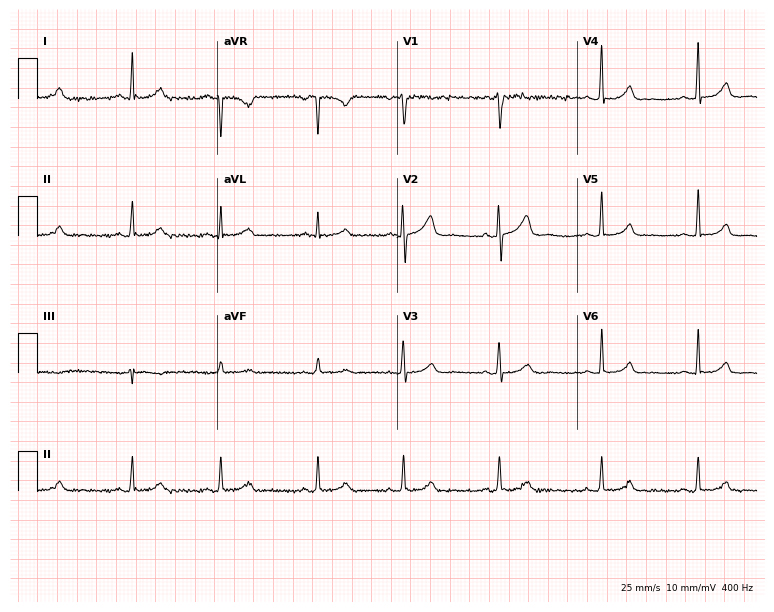
12-lead ECG from a 46-year-old female (7.3-second recording at 400 Hz). No first-degree AV block, right bundle branch block, left bundle branch block, sinus bradycardia, atrial fibrillation or sinus tachycardia recorded for this tracing.